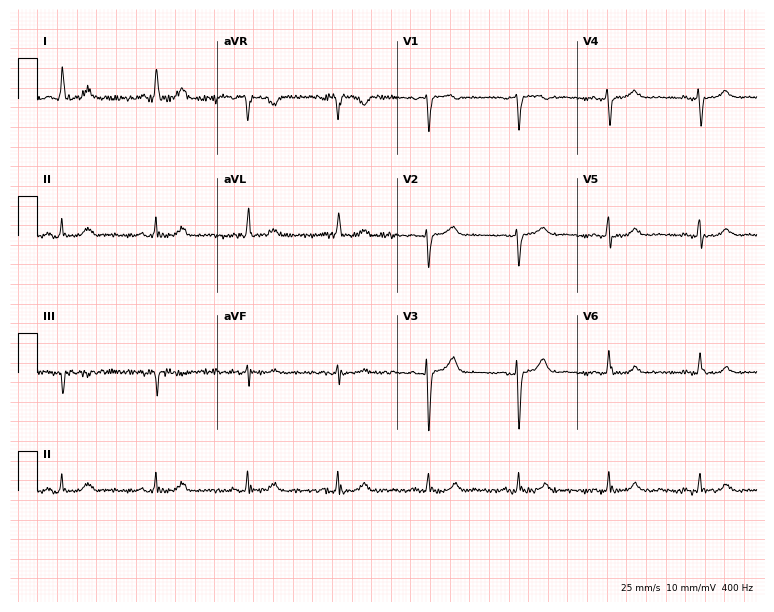
Standard 12-lead ECG recorded from a female, 65 years old. None of these six findings is recorded: first-degree AV block, right bundle branch block, left bundle branch block, sinus bradycardia, atrial fibrillation, sinus tachycardia. Other findings, if any, are not listed.